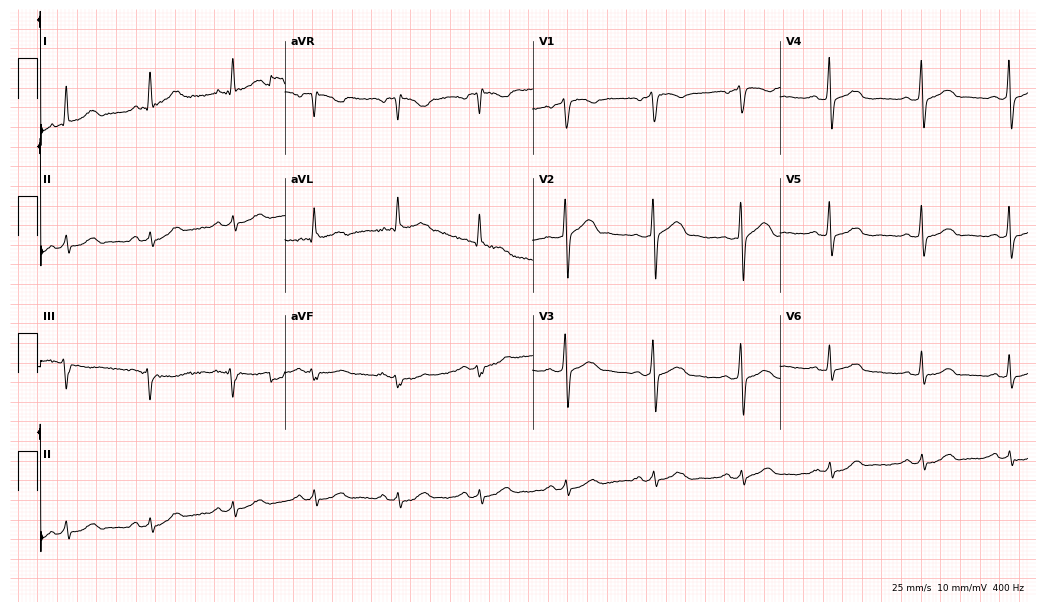
Resting 12-lead electrocardiogram. Patient: a 51-year-old man. Read as a normal ECG.